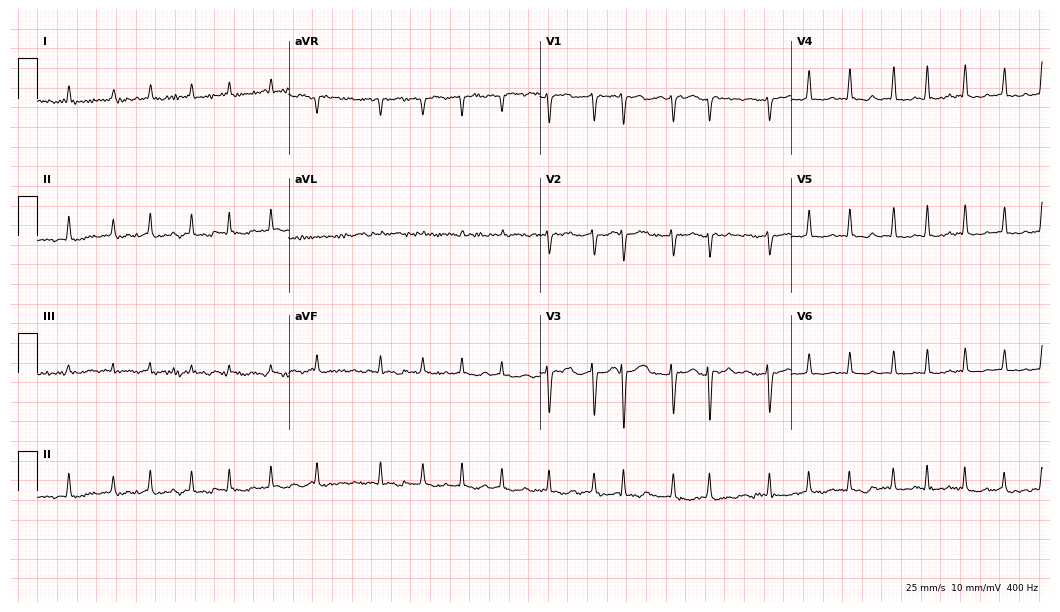
Resting 12-lead electrocardiogram (10.2-second recording at 400 Hz). Patient: a female, 62 years old. The tracing shows atrial fibrillation.